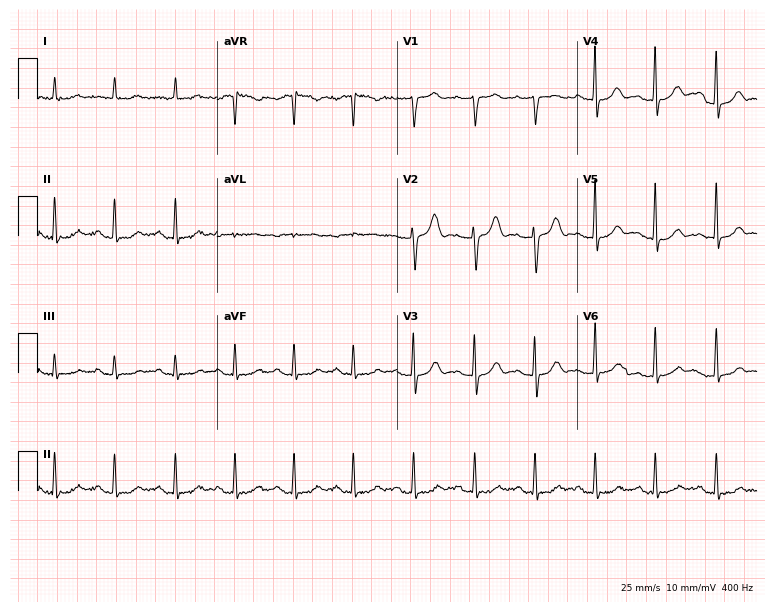
12-lead ECG (7.3-second recording at 400 Hz) from an 81-year-old female. Labelled as a normal ECG.